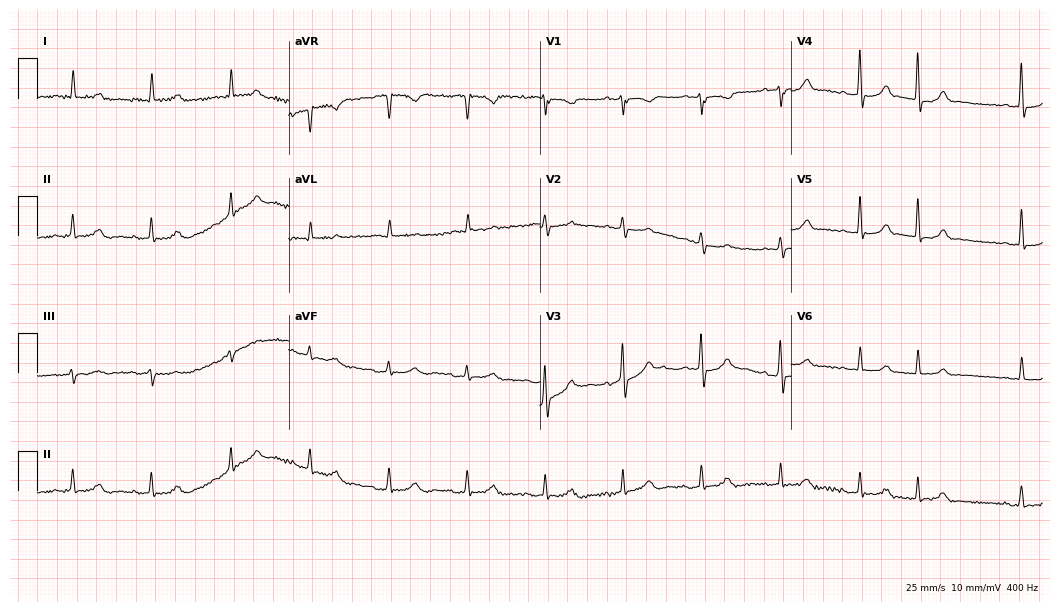
Standard 12-lead ECG recorded from an 84-year-old woman. None of these six findings is recorded: first-degree AV block, right bundle branch block, left bundle branch block, sinus bradycardia, atrial fibrillation, sinus tachycardia.